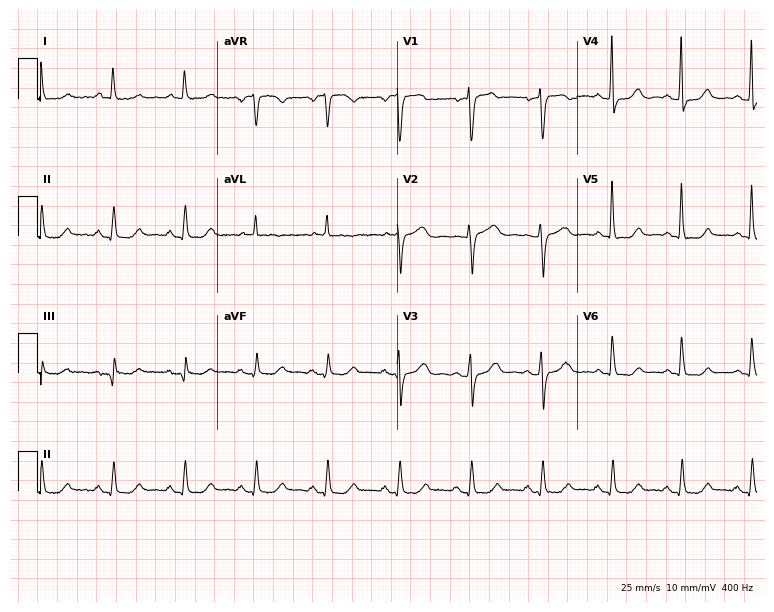
Resting 12-lead electrocardiogram (7.3-second recording at 400 Hz). Patient: a female, 63 years old. None of these six findings is recorded: first-degree AV block, right bundle branch block, left bundle branch block, sinus bradycardia, atrial fibrillation, sinus tachycardia. Only these six findings were labelled.